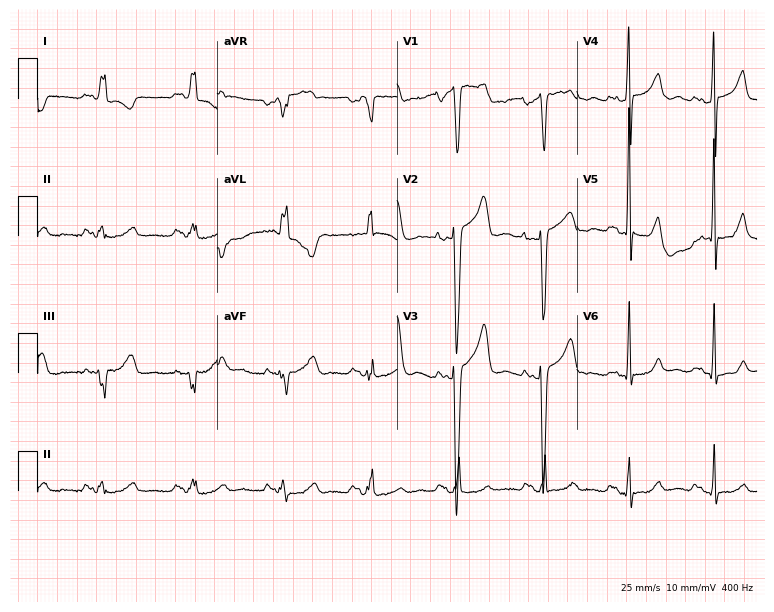
ECG (7.3-second recording at 400 Hz) — a female patient, 47 years old. Screened for six findings — first-degree AV block, right bundle branch block (RBBB), left bundle branch block (LBBB), sinus bradycardia, atrial fibrillation (AF), sinus tachycardia — none is recorded.